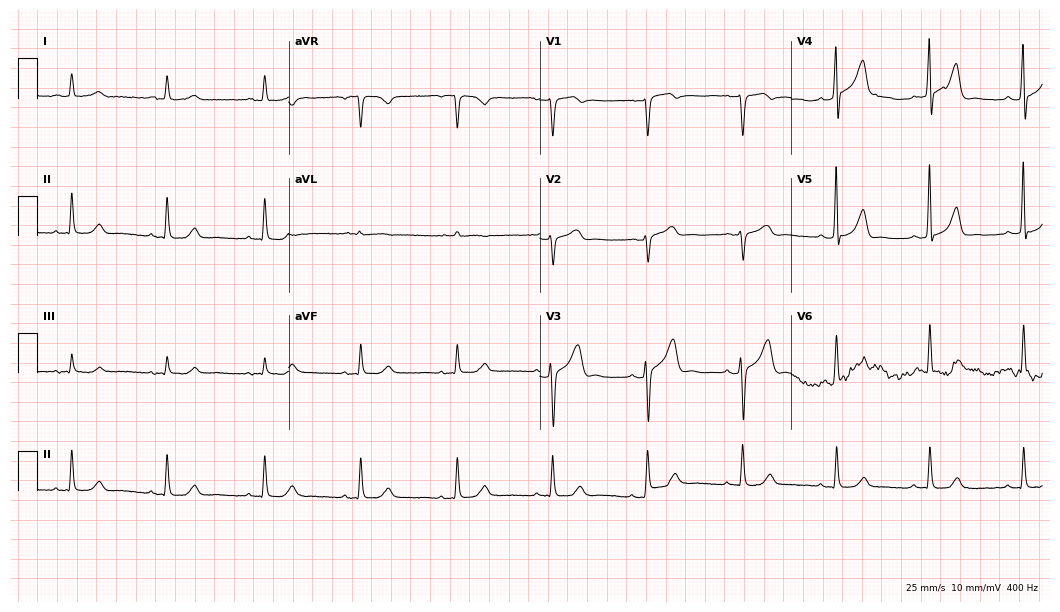
12-lead ECG from a male, 78 years old. Recorded interpretation: within normal limits.